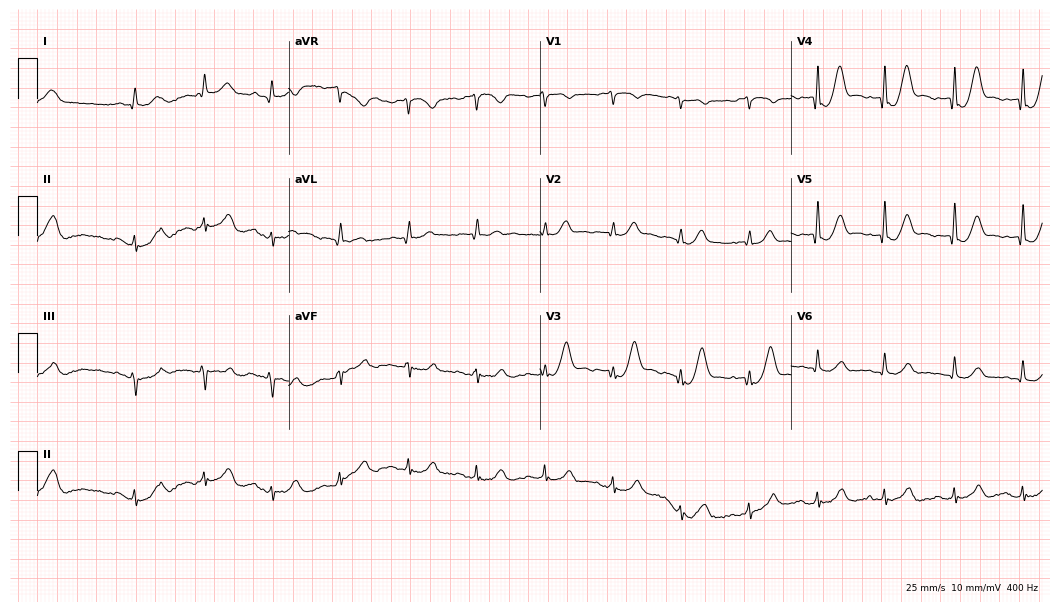
12-lead ECG from an 84-year-old man. No first-degree AV block, right bundle branch block (RBBB), left bundle branch block (LBBB), sinus bradycardia, atrial fibrillation (AF) or sinus tachycardia recorded for this tracing. Other findings, if any, are not listed.